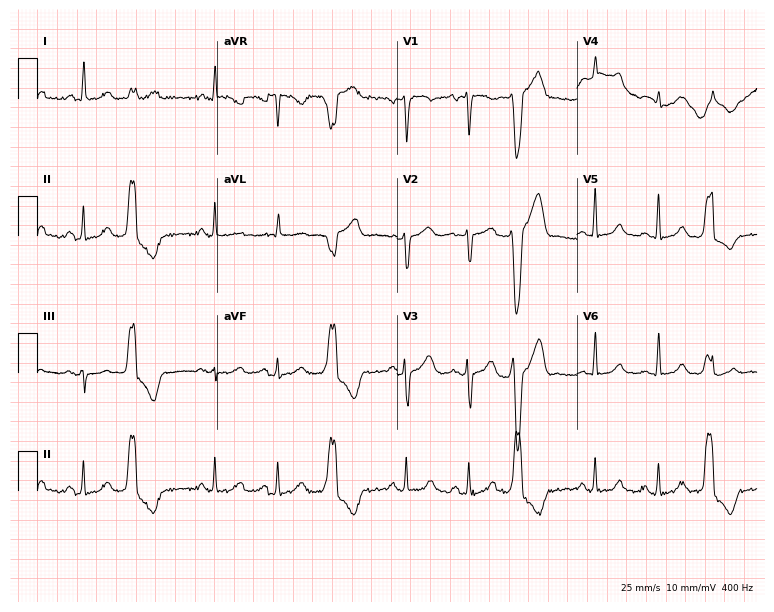
ECG (7.3-second recording at 400 Hz) — a woman, 44 years old. Screened for six findings — first-degree AV block, right bundle branch block, left bundle branch block, sinus bradycardia, atrial fibrillation, sinus tachycardia — none is recorded. Findings outside these six are not listed.